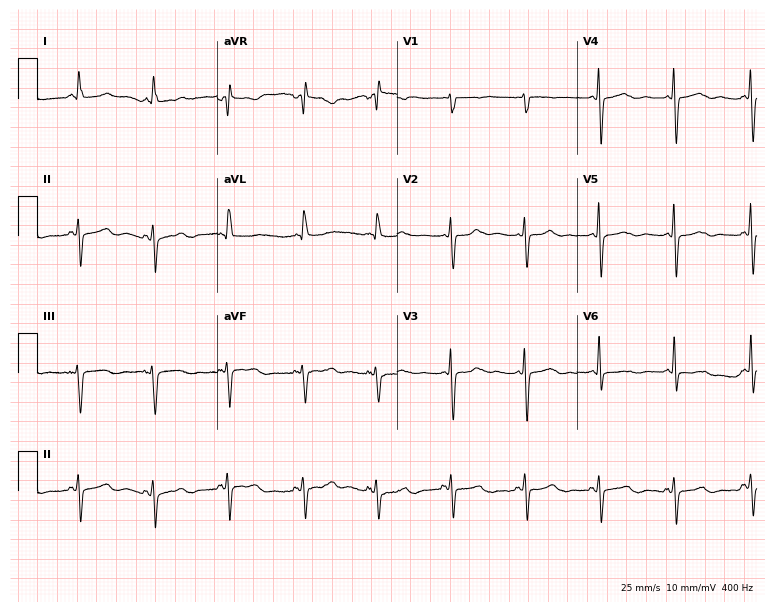
Electrocardiogram (7.3-second recording at 400 Hz), a female patient, 81 years old. Of the six screened findings (first-degree AV block, right bundle branch block, left bundle branch block, sinus bradycardia, atrial fibrillation, sinus tachycardia), none is recorded.